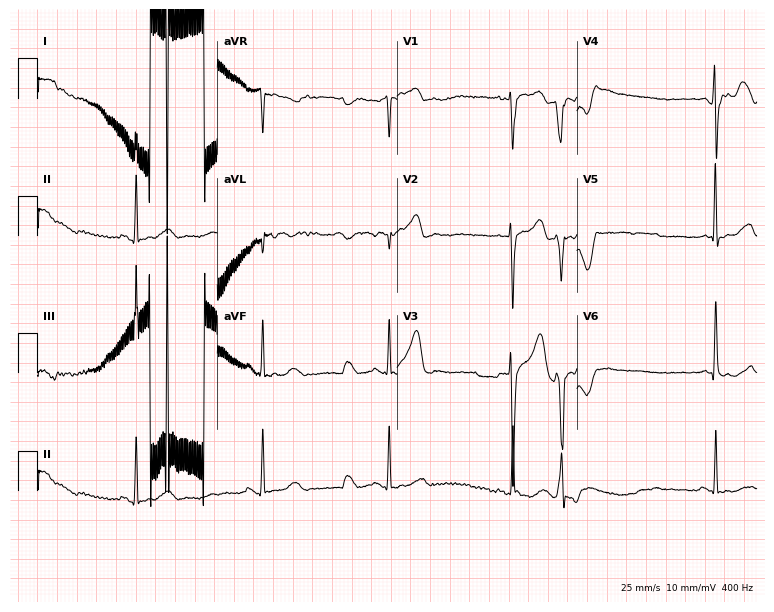
ECG — a man, 71 years old. Findings include atrial fibrillation.